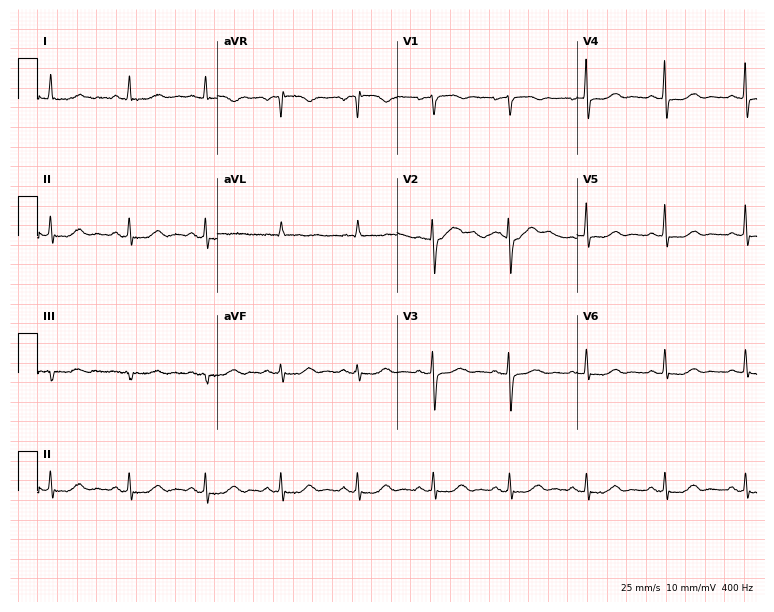
12-lead ECG (7.3-second recording at 400 Hz) from a female, 55 years old. Screened for six findings — first-degree AV block, right bundle branch block, left bundle branch block, sinus bradycardia, atrial fibrillation, sinus tachycardia — none is recorded.